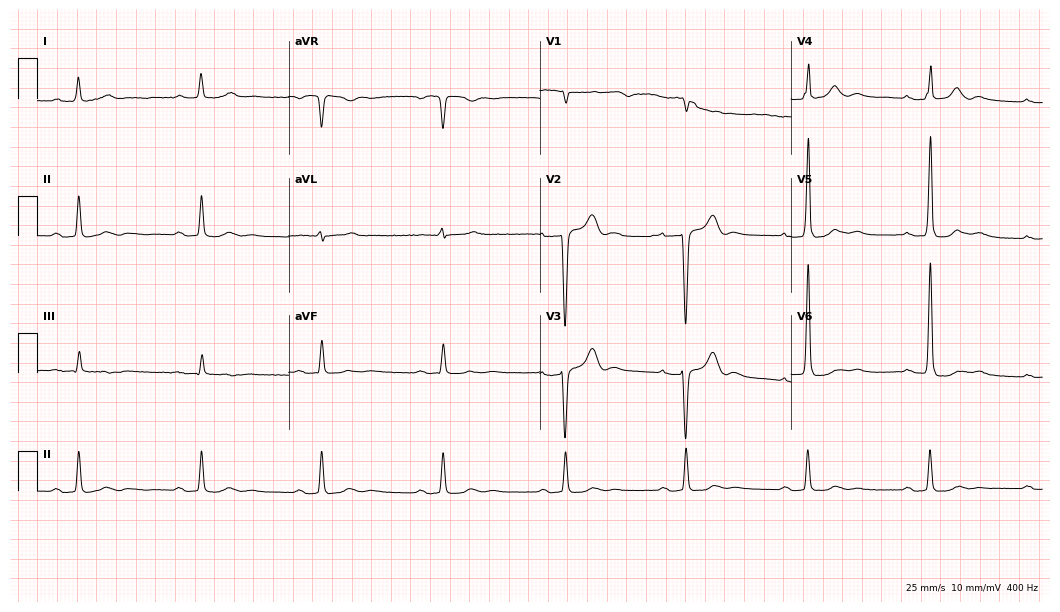
ECG — a 74-year-old male patient. Findings include first-degree AV block, sinus bradycardia (a sinus rate of 50 beats per minute or less).